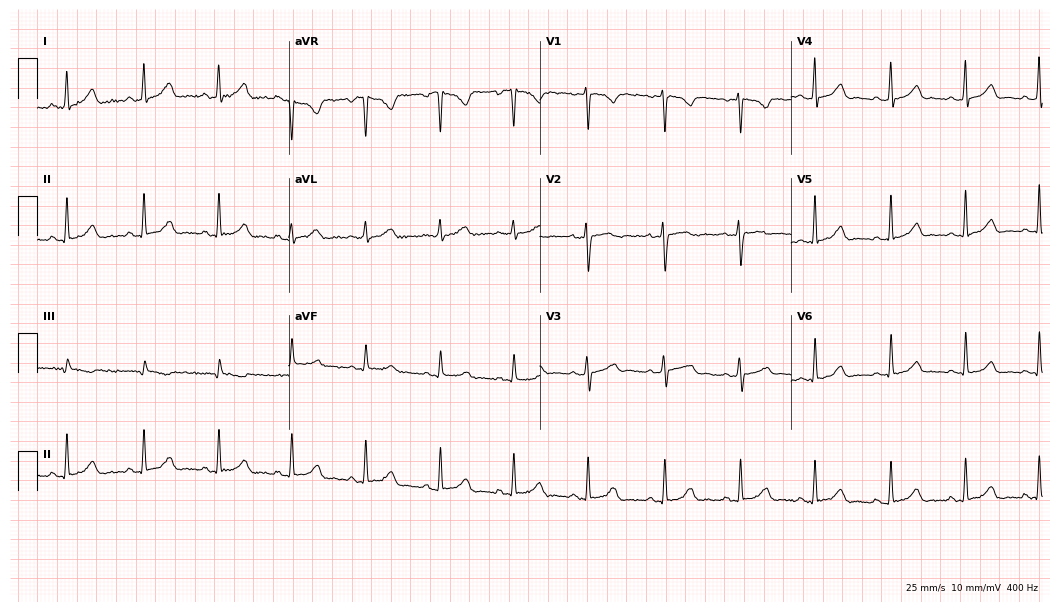
Standard 12-lead ECG recorded from a 29-year-old female (10.2-second recording at 400 Hz). Read as a normal ECG.